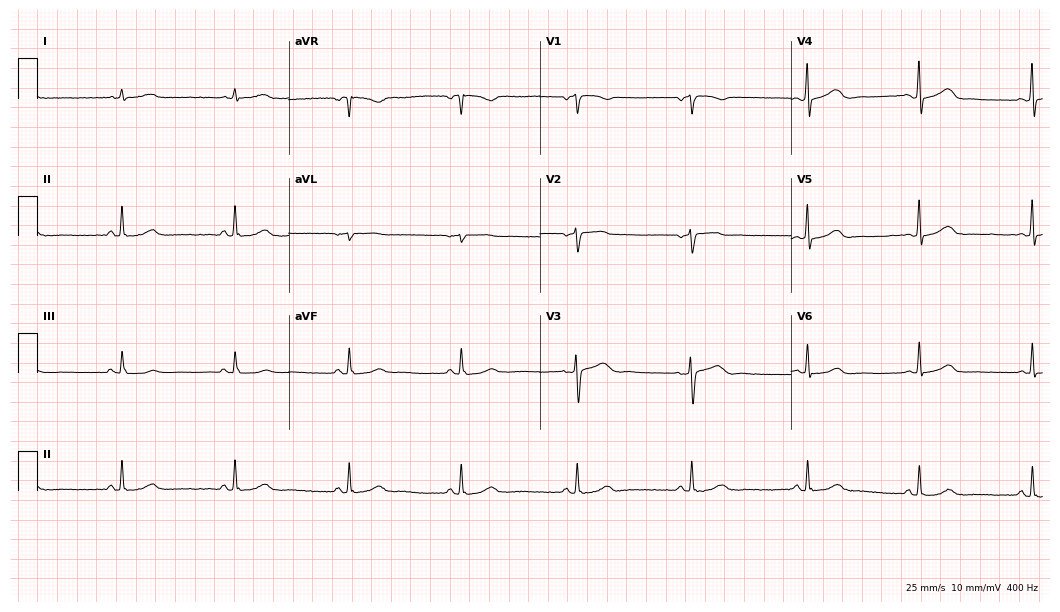
12-lead ECG from a 67-year-old female. Labelled as a normal ECG.